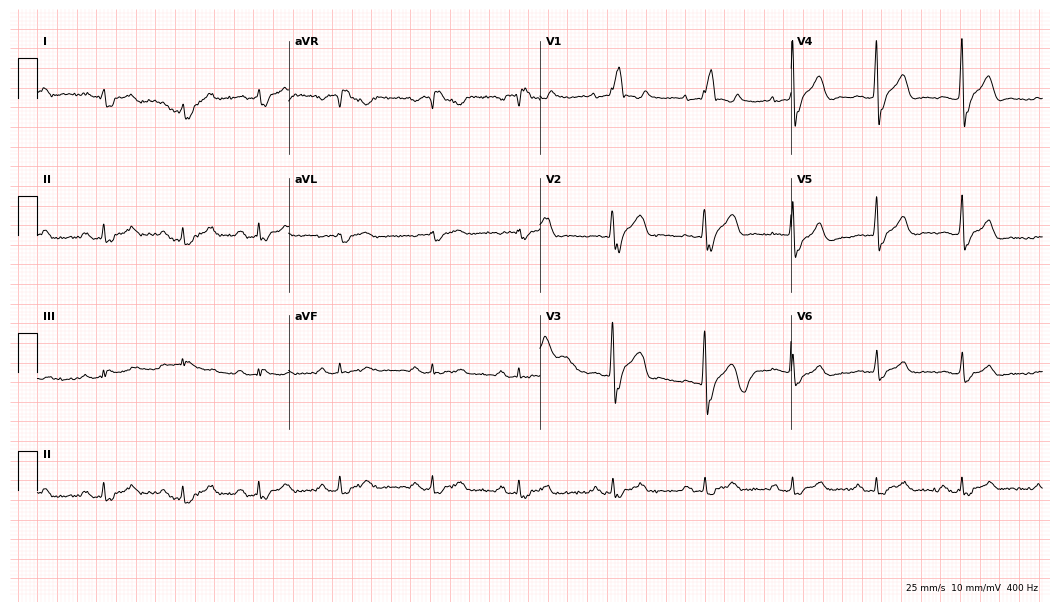
12-lead ECG from a 64-year-old man (10.2-second recording at 400 Hz). Shows first-degree AV block, right bundle branch block (RBBB).